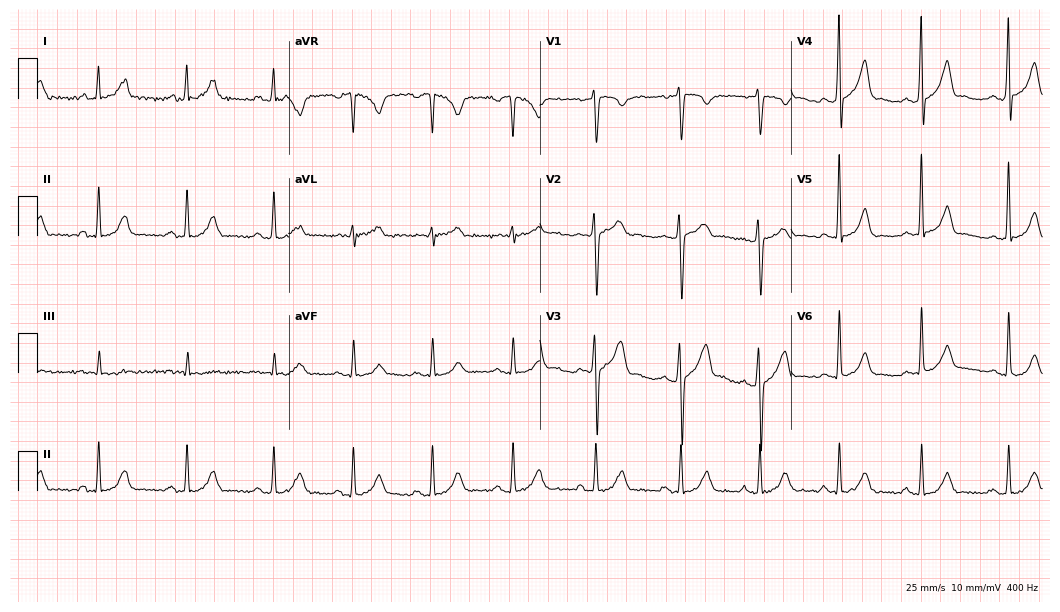
Standard 12-lead ECG recorded from a 32-year-old male patient (10.2-second recording at 400 Hz). None of these six findings is recorded: first-degree AV block, right bundle branch block (RBBB), left bundle branch block (LBBB), sinus bradycardia, atrial fibrillation (AF), sinus tachycardia. Other findings, if any, are not listed.